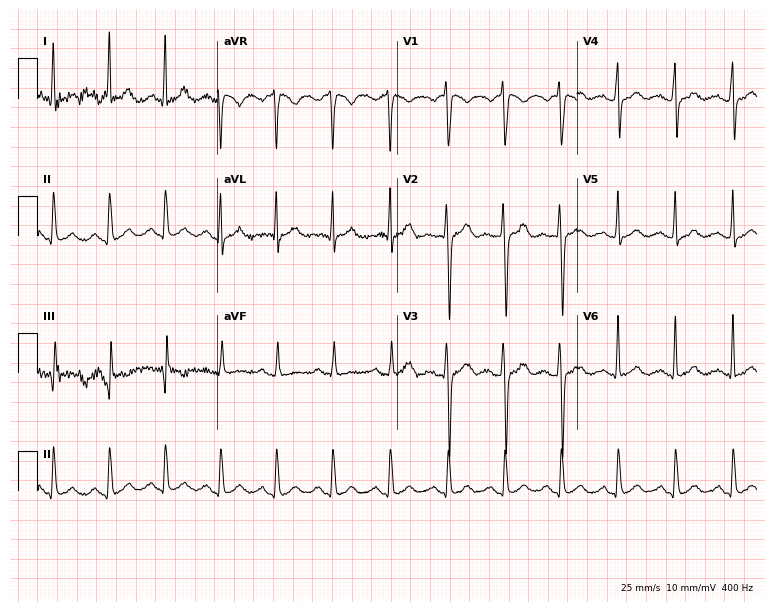
Electrocardiogram, a male, 29 years old. Interpretation includes sinus tachycardia (a sinus rate of 100 beats per minute or more).